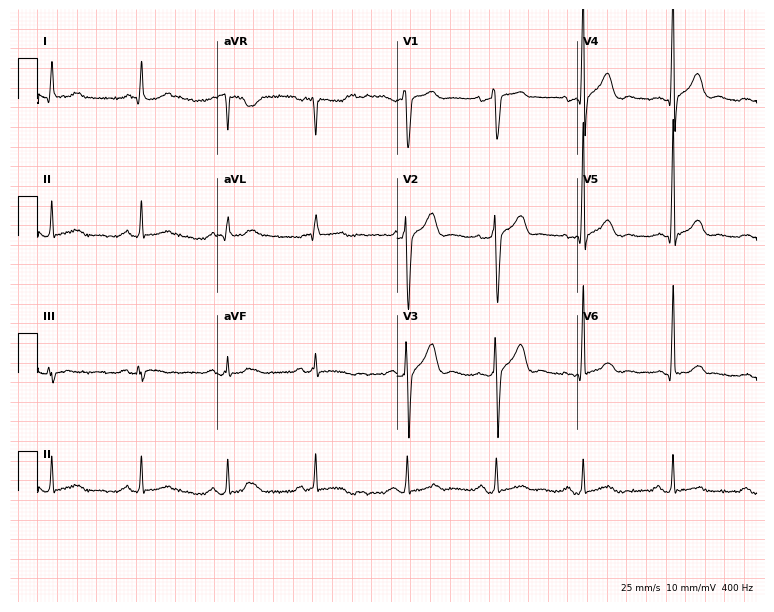
ECG (7.3-second recording at 400 Hz) — a man, 53 years old. Screened for six findings — first-degree AV block, right bundle branch block, left bundle branch block, sinus bradycardia, atrial fibrillation, sinus tachycardia — none is recorded. Findings outside these six are not listed.